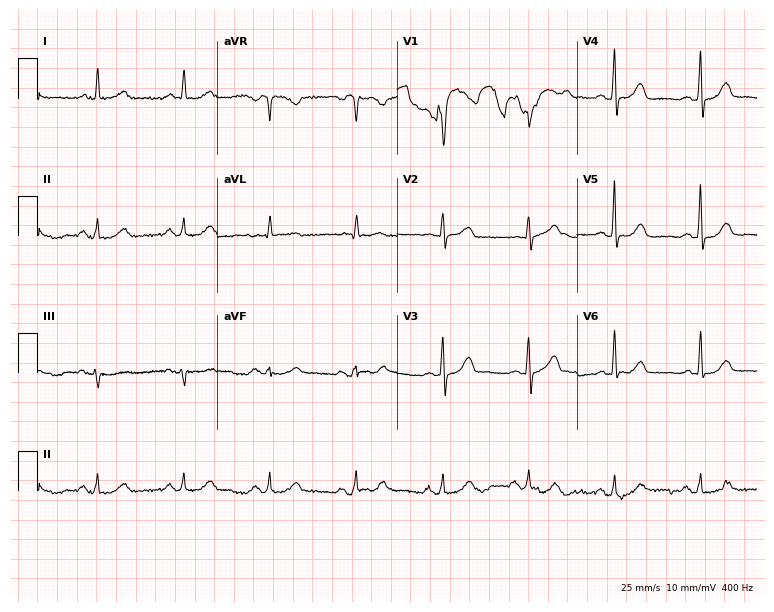
12-lead ECG from a female patient, 77 years old (7.3-second recording at 400 Hz). Recorded interpretation: within normal limits.